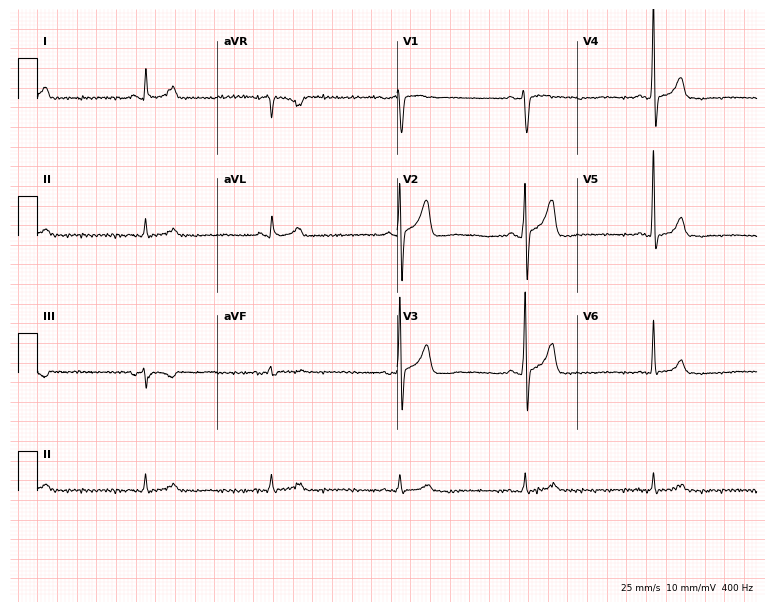
Resting 12-lead electrocardiogram. Patient: a 73-year-old male. Read as a normal ECG.